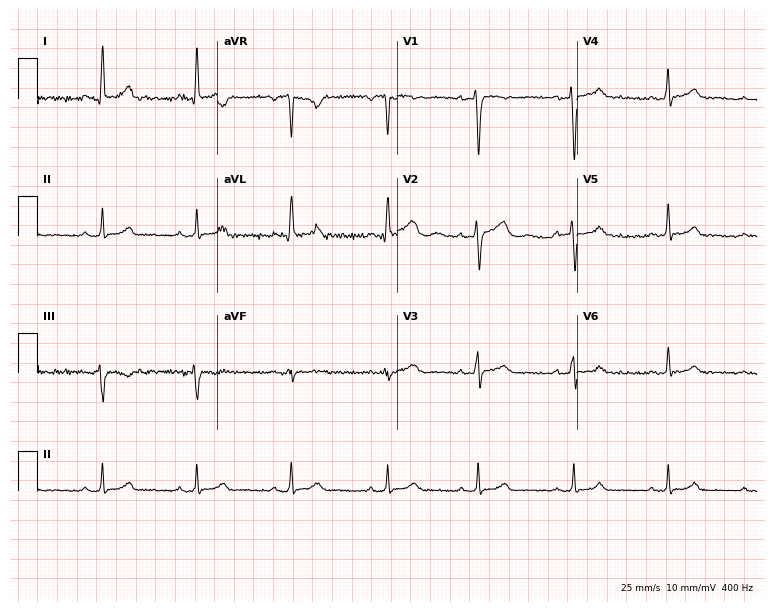
Electrocardiogram (7.3-second recording at 400 Hz), a female patient, 36 years old. Of the six screened findings (first-degree AV block, right bundle branch block, left bundle branch block, sinus bradycardia, atrial fibrillation, sinus tachycardia), none is recorded.